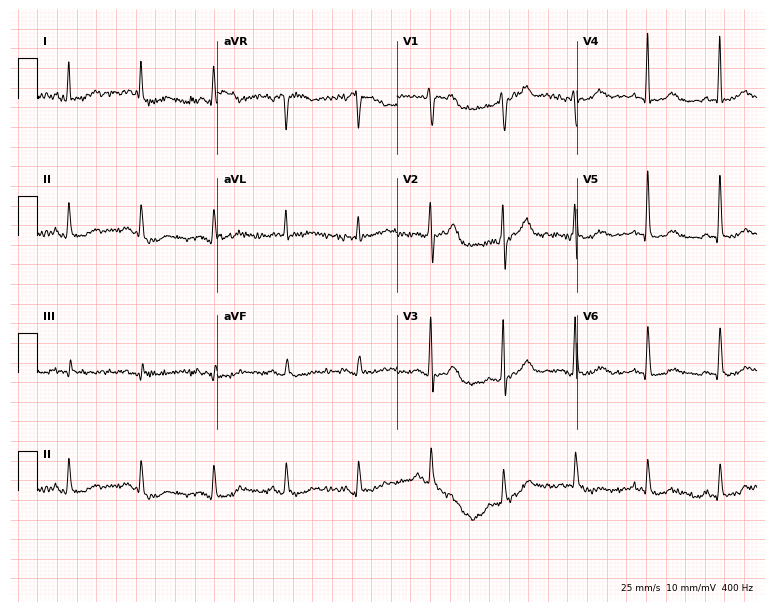
Standard 12-lead ECG recorded from a 70-year-old male. Read as a normal ECG.